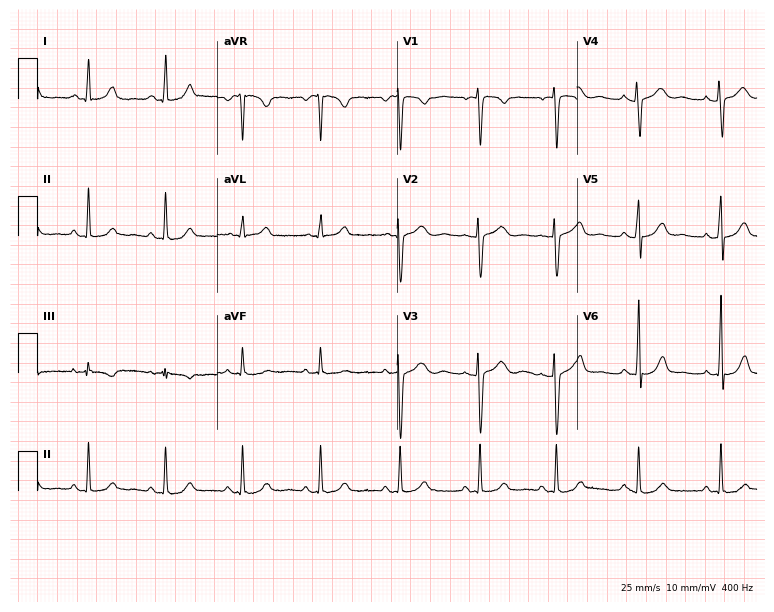
12-lead ECG from a female patient, 30 years old (7.3-second recording at 400 Hz). Recorded interpretation: within normal limits.